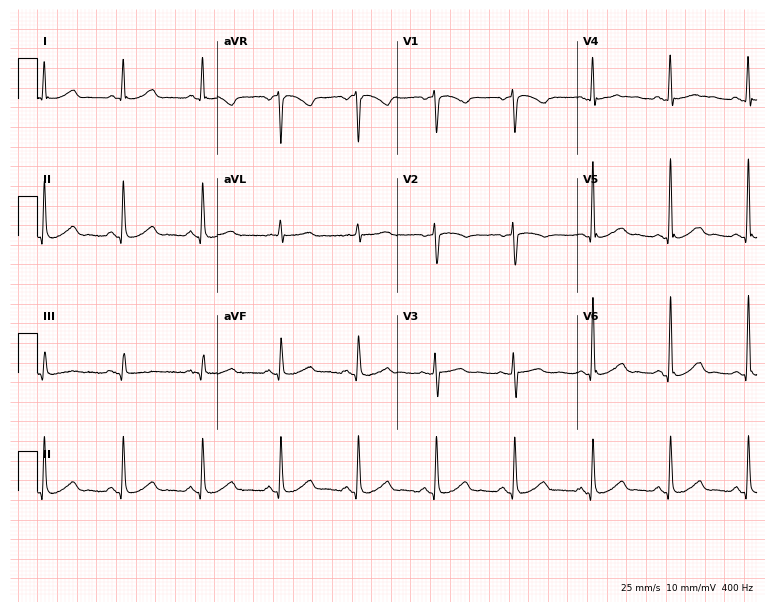
Standard 12-lead ECG recorded from a woman, 61 years old. Read as a normal ECG.